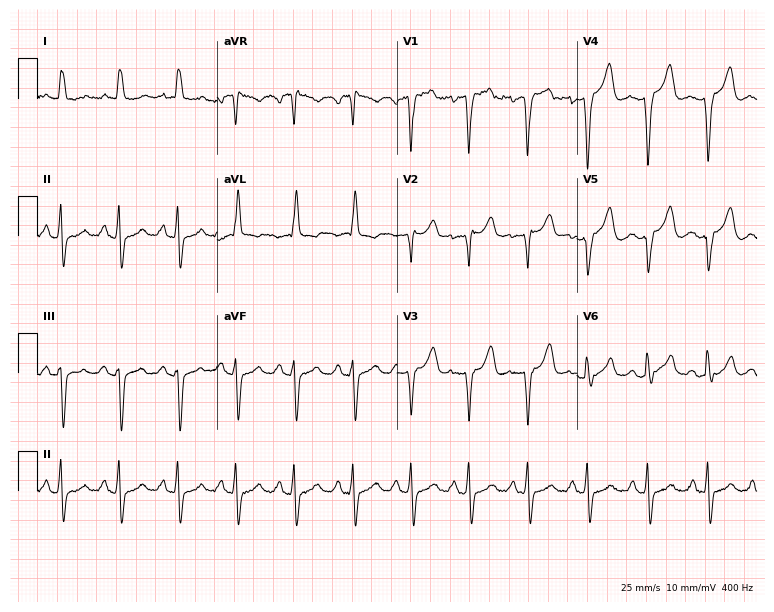
Electrocardiogram (7.3-second recording at 400 Hz), a 48-year-old female patient. Of the six screened findings (first-degree AV block, right bundle branch block, left bundle branch block, sinus bradycardia, atrial fibrillation, sinus tachycardia), none is recorded. Findings outside these six are not listed.